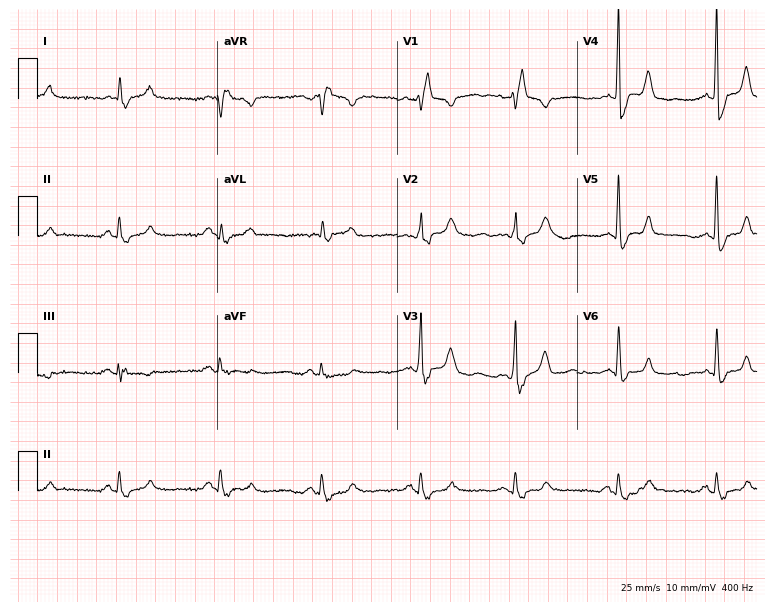
12-lead ECG from an 82-year-old male. Shows right bundle branch block.